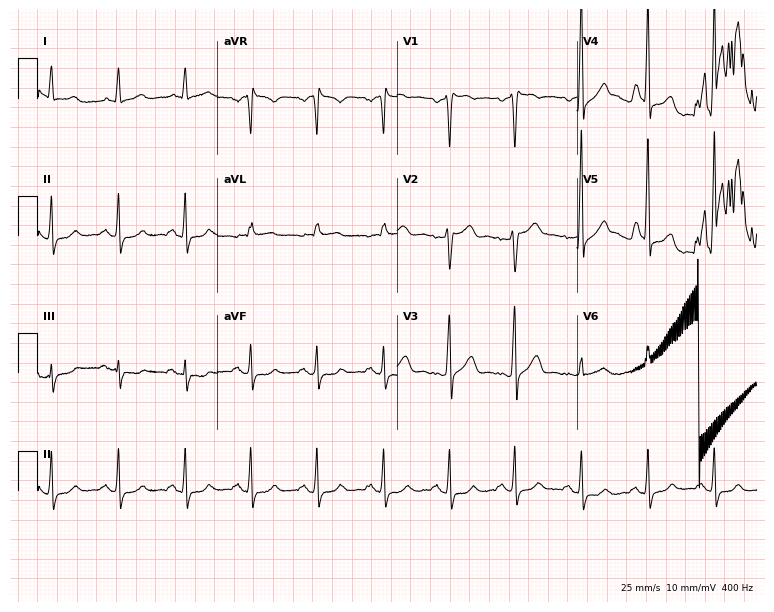
12-lead ECG from a 57-year-old man. Screened for six findings — first-degree AV block, right bundle branch block, left bundle branch block, sinus bradycardia, atrial fibrillation, sinus tachycardia — none is recorded. Other findings, if any, are not listed.